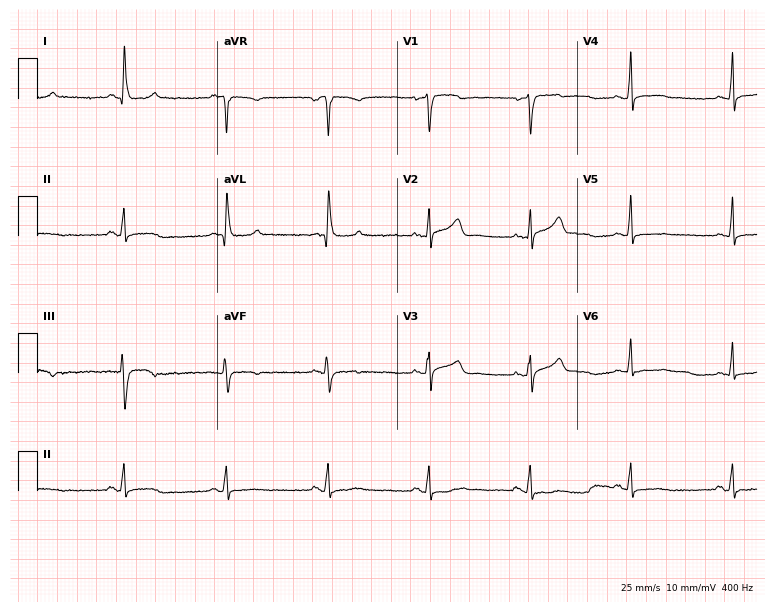
ECG — a 54-year-old man. Screened for six findings — first-degree AV block, right bundle branch block, left bundle branch block, sinus bradycardia, atrial fibrillation, sinus tachycardia — none is recorded.